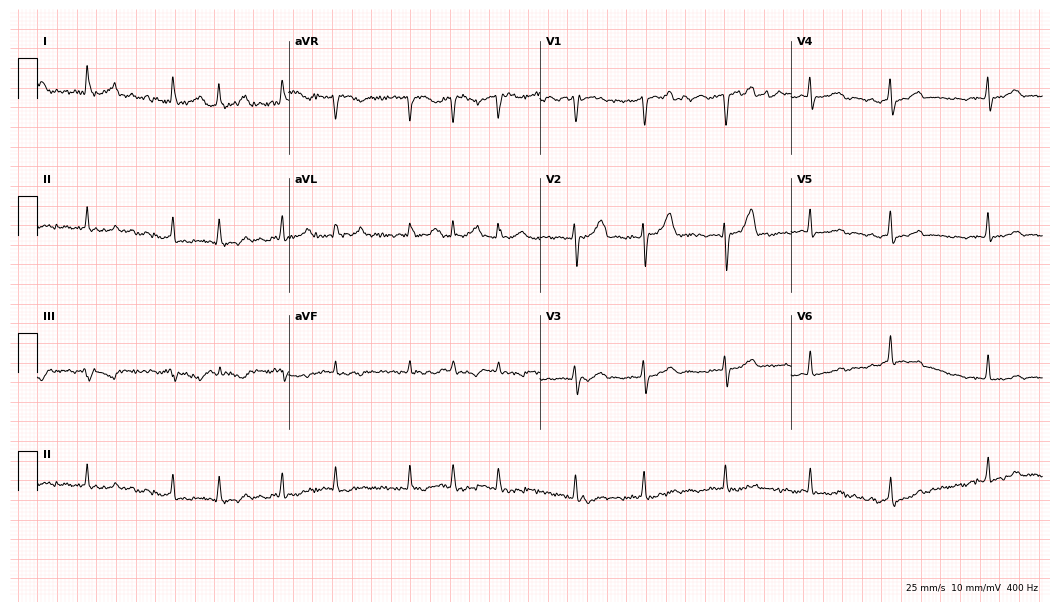
Electrocardiogram (10.2-second recording at 400 Hz), a 76-year-old woman. Interpretation includes atrial fibrillation.